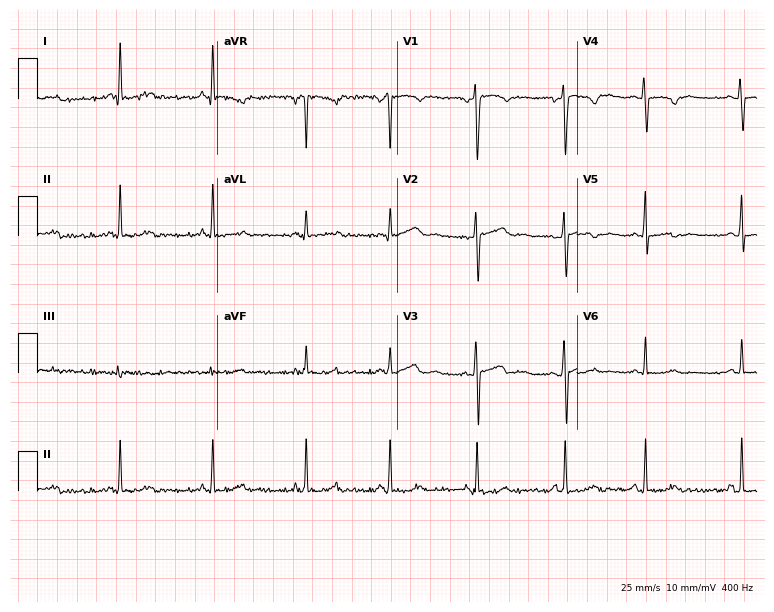
Standard 12-lead ECG recorded from a female, 34 years old. None of these six findings is recorded: first-degree AV block, right bundle branch block, left bundle branch block, sinus bradycardia, atrial fibrillation, sinus tachycardia.